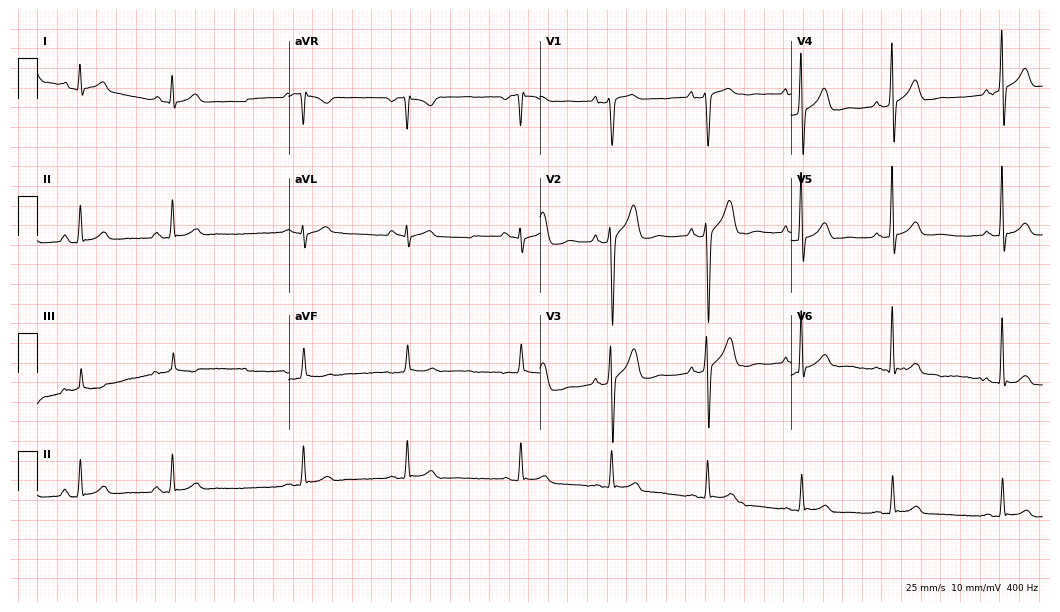
ECG (10.2-second recording at 400 Hz) — a male, 21 years old. Screened for six findings — first-degree AV block, right bundle branch block, left bundle branch block, sinus bradycardia, atrial fibrillation, sinus tachycardia — none is recorded.